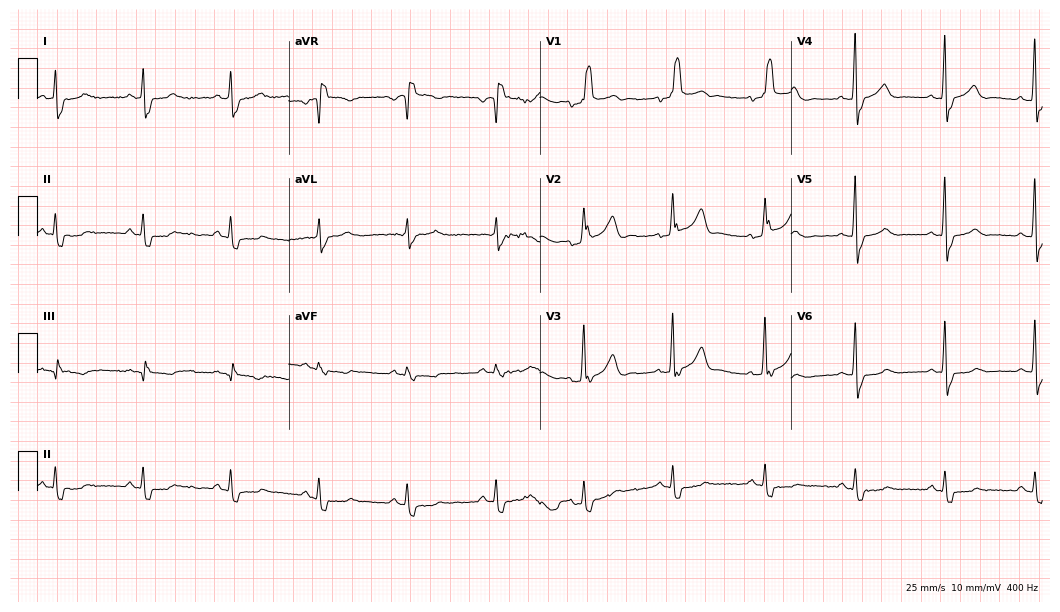
12-lead ECG from a 73-year-old man (10.2-second recording at 400 Hz). No first-degree AV block, right bundle branch block (RBBB), left bundle branch block (LBBB), sinus bradycardia, atrial fibrillation (AF) or sinus tachycardia recorded for this tracing. Findings outside these six are not listed.